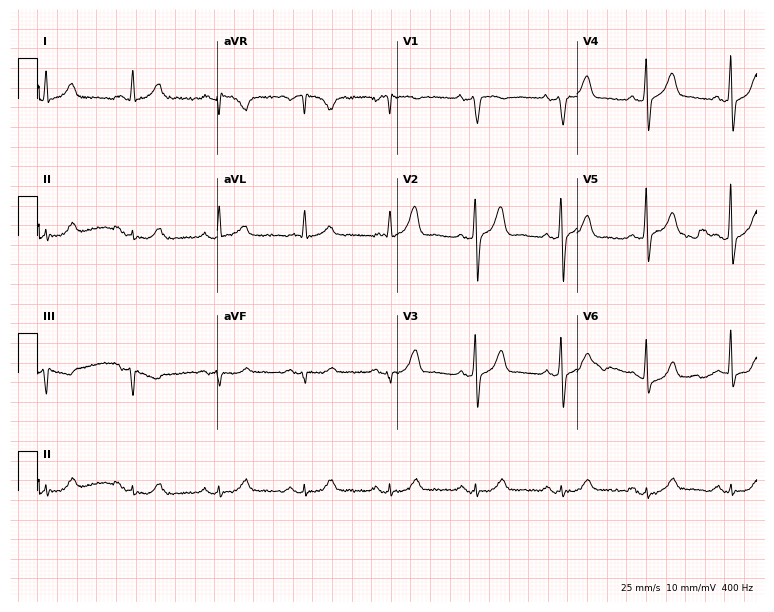
Electrocardiogram (7.3-second recording at 400 Hz), a 76-year-old male. Of the six screened findings (first-degree AV block, right bundle branch block (RBBB), left bundle branch block (LBBB), sinus bradycardia, atrial fibrillation (AF), sinus tachycardia), none is recorded. Only these six findings were labelled.